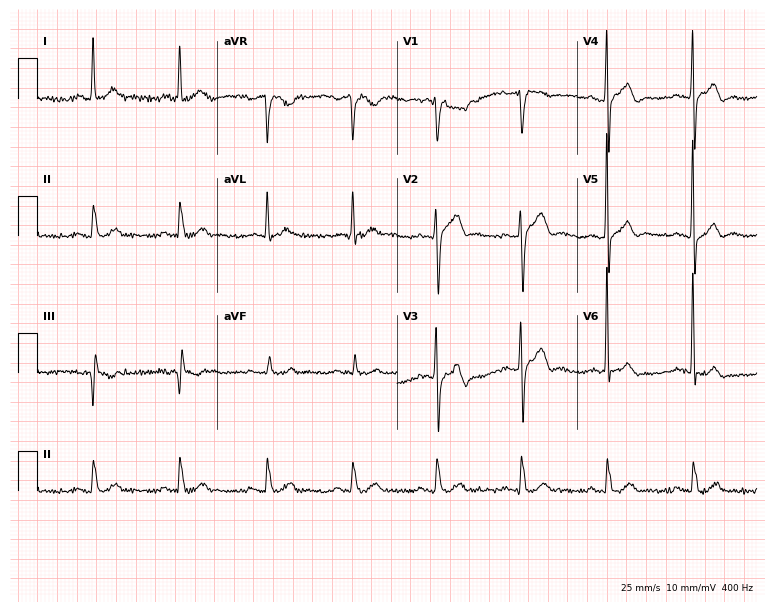
ECG (7.3-second recording at 400 Hz) — a 61-year-old male patient. Screened for six findings — first-degree AV block, right bundle branch block, left bundle branch block, sinus bradycardia, atrial fibrillation, sinus tachycardia — none is recorded. Other findings, if any, are not listed.